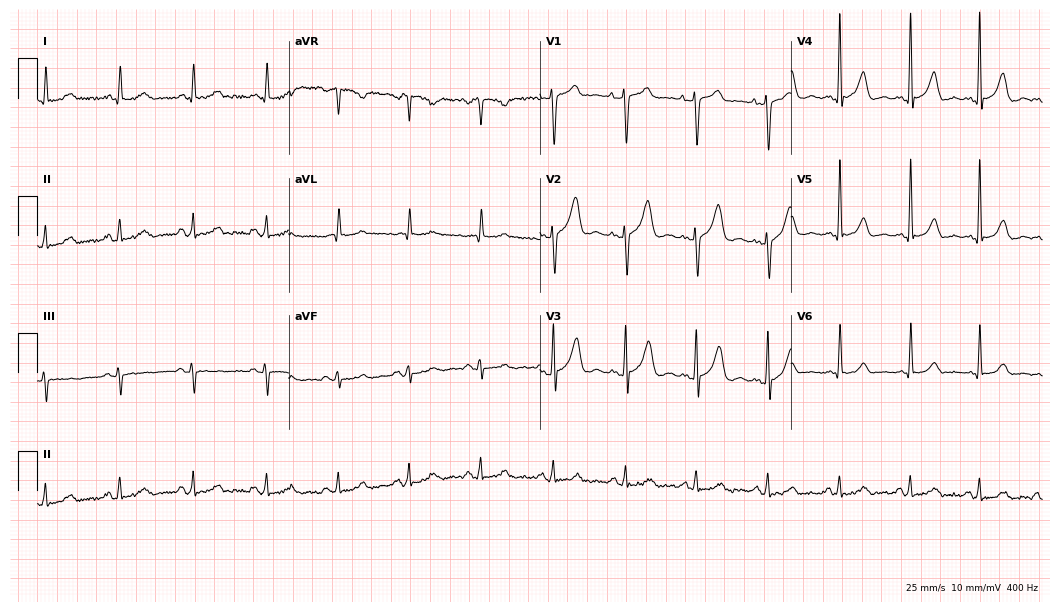
12-lead ECG from a male, 46 years old (10.2-second recording at 400 Hz). No first-degree AV block, right bundle branch block, left bundle branch block, sinus bradycardia, atrial fibrillation or sinus tachycardia recorded for this tracing. Findings outside these six are not listed.